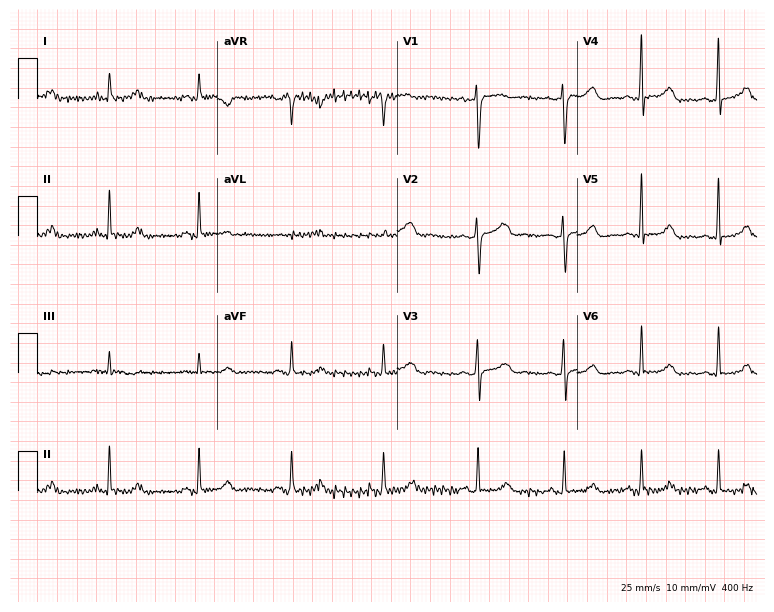
12-lead ECG (7.3-second recording at 400 Hz) from a female, 38 years old. Screened for six findings — first-degree AV block, right bundle branch block, left bundle branch block, sinus bradycardia, atrial fibrillation, sinus tachycardia — none is recorded. Other findings, if any, are not listed.